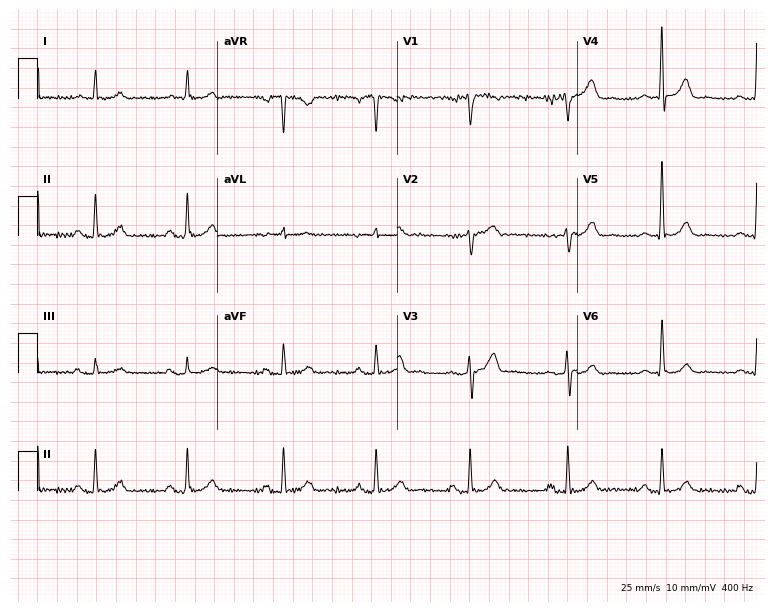
ECG — a man, 64 years old. Labelled as a normal ECG.